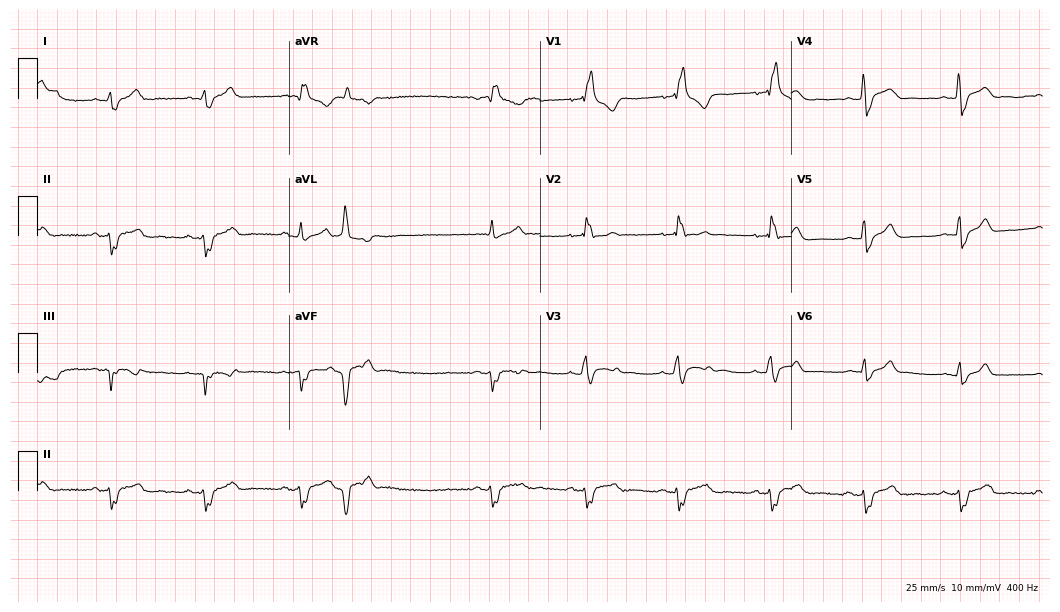
12-lead ECG from a man, 40 years old. No first-degree AV block, right bundle branch block (RBBB), left bundle branch block (LBBB), sinus bradycardia, atrial fibrillation (AF) or sinus tachycardia recorded for this tracing.